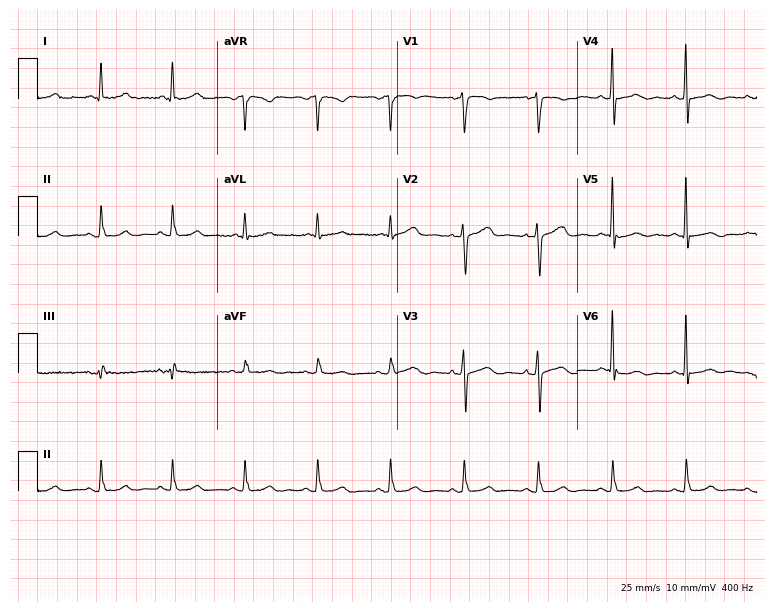
12-lead ECG from a 61-year-old woman (7.3-second recording at 400 Hz). No first-degree AV block, right bundle branch block (RBBB), left bundle branch block (LBBB), sinus bradycardia, atrial fibrillation (AF) or sinus tachycardia recorded for this tracing.